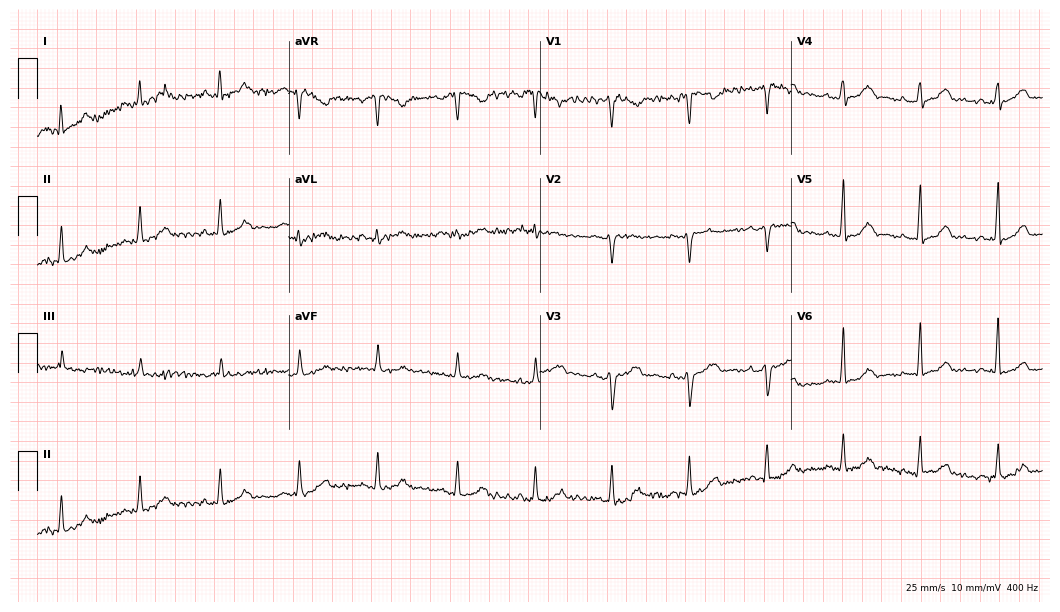
Standard 12-lead ECG recorded from a 48-year-old female (10.2-second recording at 400 Hz). Read as a normal ECG.